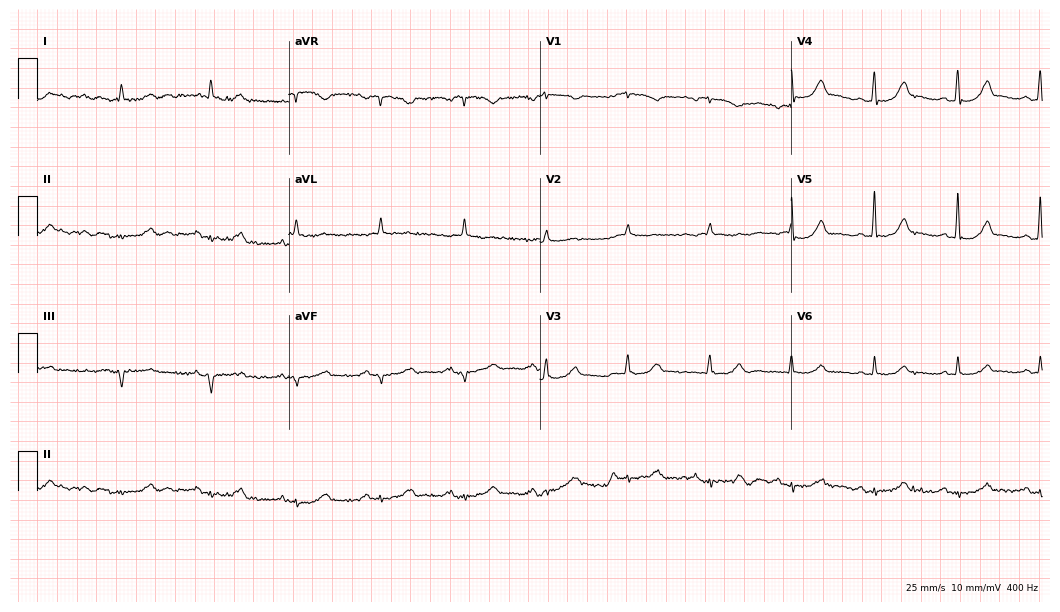
12-lead ECG from an 82-year-old female. Screened for six findings — first-degree AV block, right bundle branch block (RBBB), left bundle branch block (LBBB), sinus bradycardia, atrial fibrillation (AF), sinus tachycardia — none is recorded.